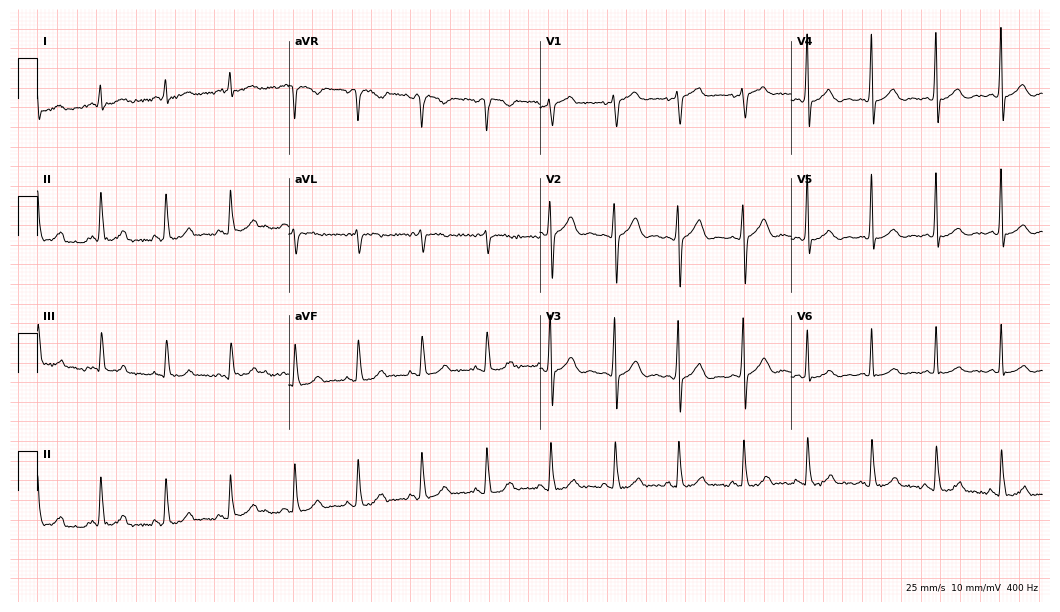
12-lead ECG (10.2-second recording at 400 Hz) from a 70-year-old woman. Screened for six findings — first-degree AV block, right bundle branch block, left bundle branch block, sinus bradycardia, atrial fibrillation, sinus tachycardia — none is recorded. Only these six findings were labelled.